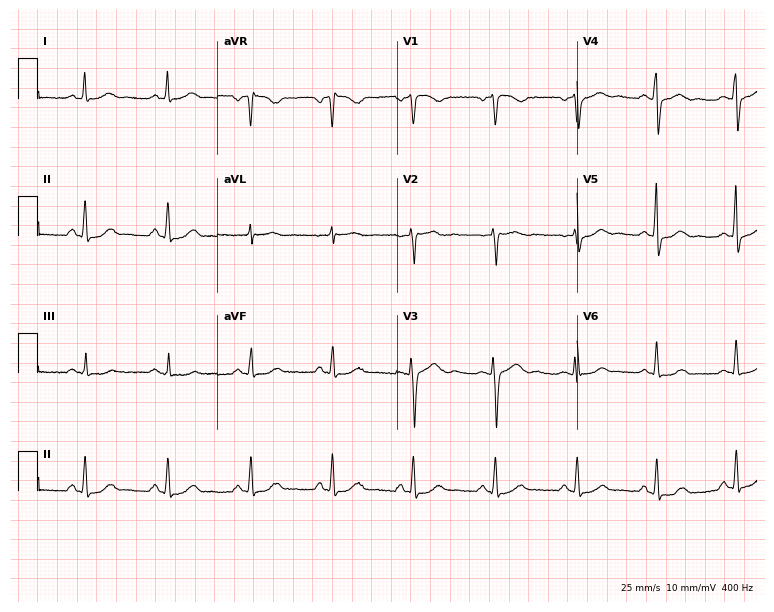
12-lead ECG from a 44-year-old woman. No first-degree AV block, right bundle branch block (RBBB), left bundle branch block (LBBB), sinus bradycardia, atrial fibrillation (AF) or sinus tachycardia recorded for this tracing. Other findings, if any, are not listed.